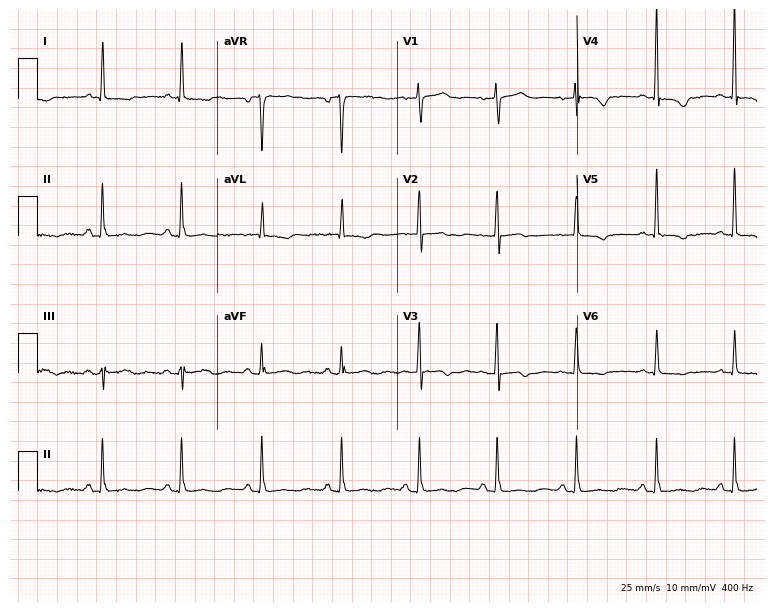
Resting 12-lead electrocardiogram (7.3-second recording at 400 Hz). Patient: a 79-year-old female. None of these six findings is recorded: first-degree AV block, right bundle branch block, left bundle branch block, sinus bradycardia, atrial fibrillation, sinus tachycardia. Findings outside these six are not listed.